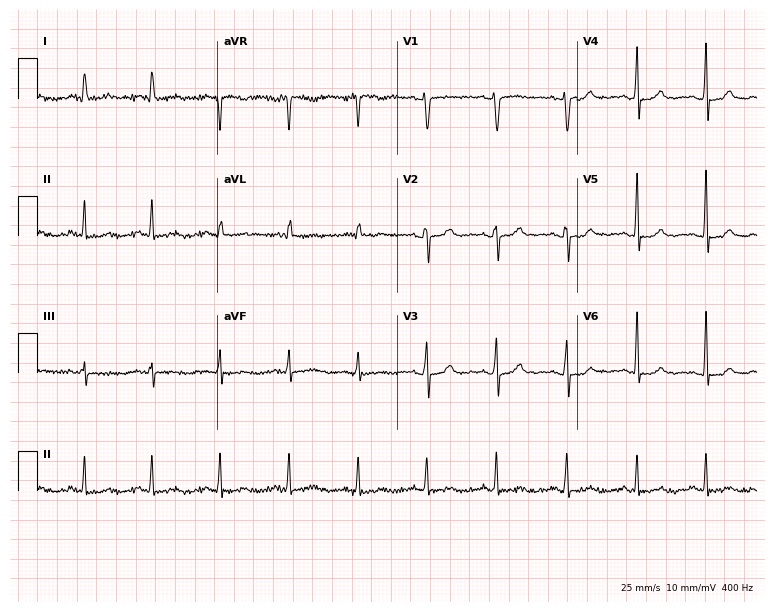
12-lead ECG from a female, 52 years old. Screened for six findings — first-degree AV block, right bundle branch block (RBBB), left bundle branch block (LBBB), sinus bradycardia, atrial fibrillation (AF), sinus tachycardia — none is recorded. Other findings, if any, are not listed.